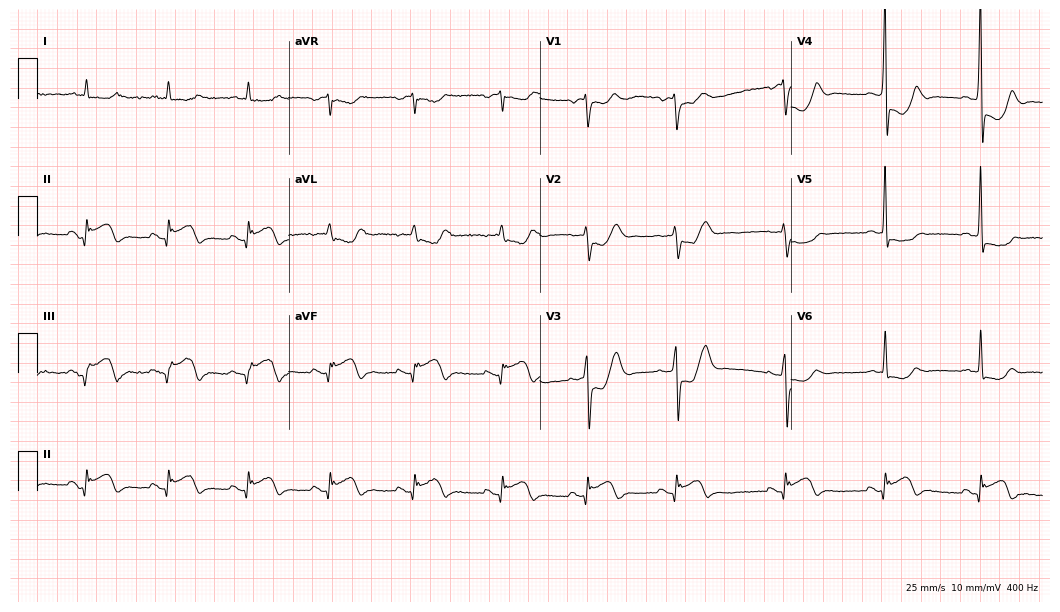
Electrocardiogram, a man, 83 years old. Of the six screened findings (first-degree AV block, right bundle branch block, left bundle branch block, sinus bradycardia, atrial fibrillation, sinus tachycardia), none is recorded. Only these six findings were labelled.